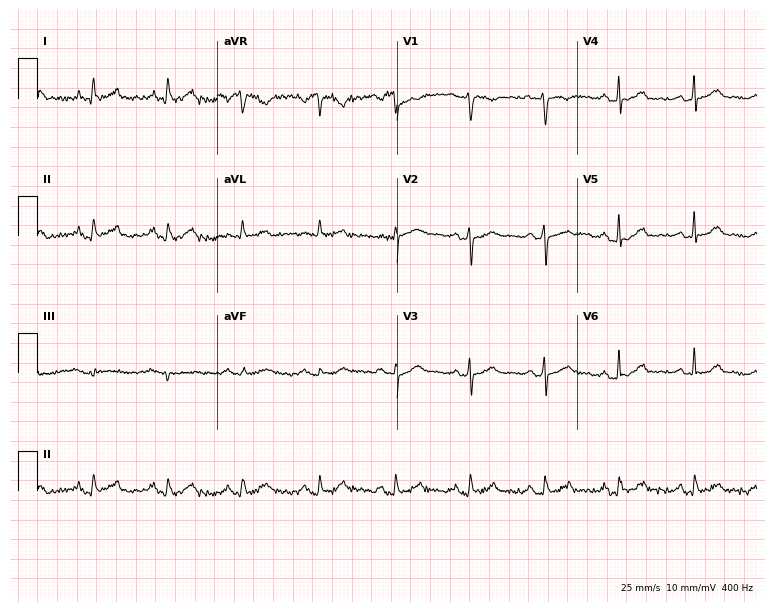
12-lead ECG from a male, 46 years old. No first-degree AV block, right bundle branch block (RBBB), left bundle branch block (LBBB), sinus bradycardia, atrial fibrillation (AF) or sinus tachycardia recorded for this tracing. Findings outside these six are not listed.